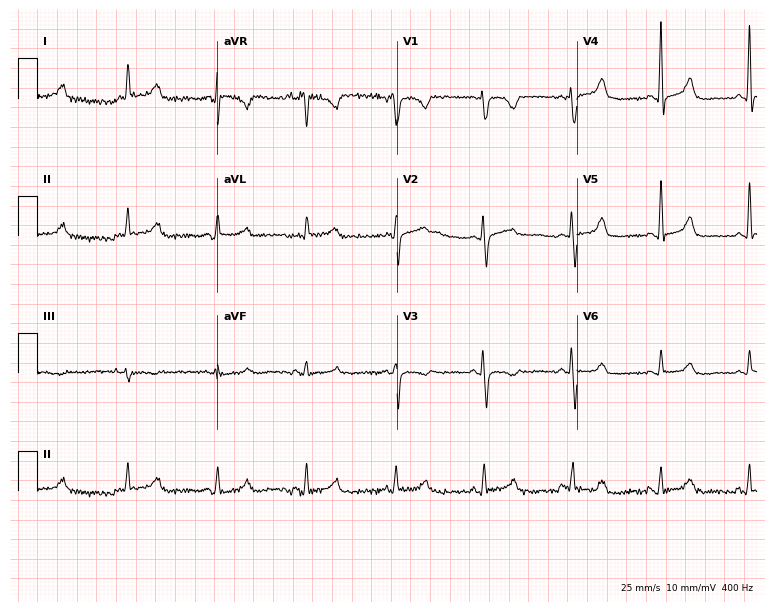
ECG (7.3-second recording at 400 Hz) — a 63-year-old woman. Labelled as a normal ECG.